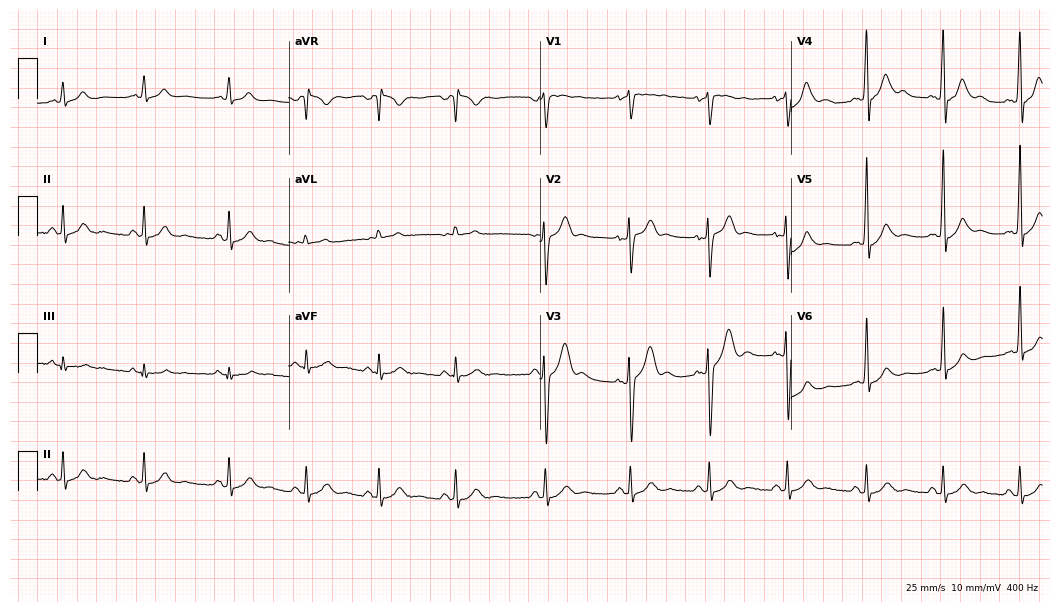
Resting 12-lead electrocardiogram. Patient: a man, 29 years old. Read as a normal ECG.